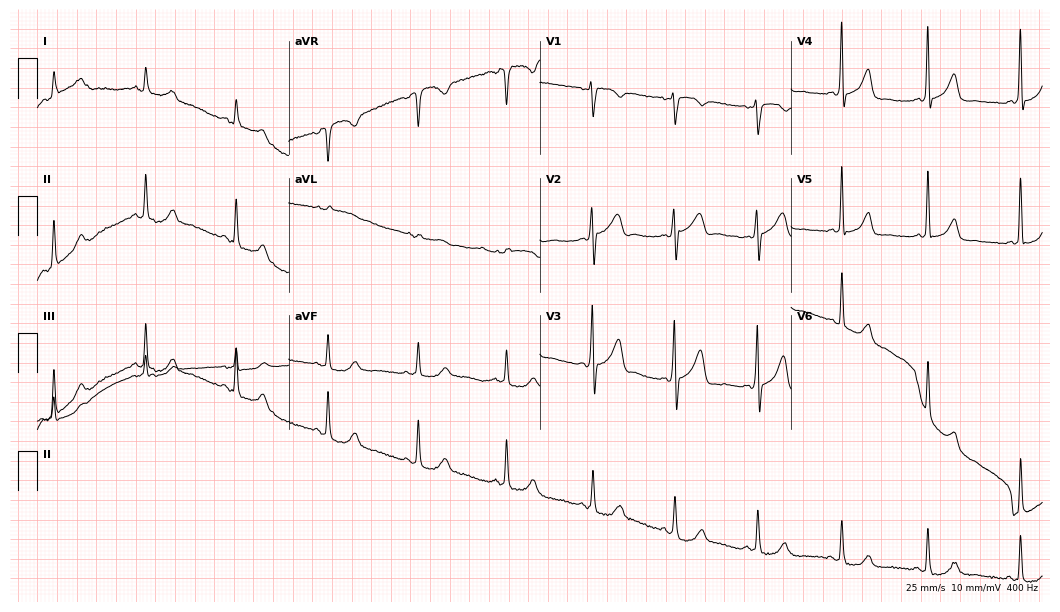
ECG (10.2-second recording at 400 Hz) — a male patient, 43 years old. Screened for six findings — first-degree AV block, right bundle branch block (RBBB), left bundle branch block (LBBB), sinus bradycardia, atrial fibrillation (AF), sinus tachycardia — none is recorded.